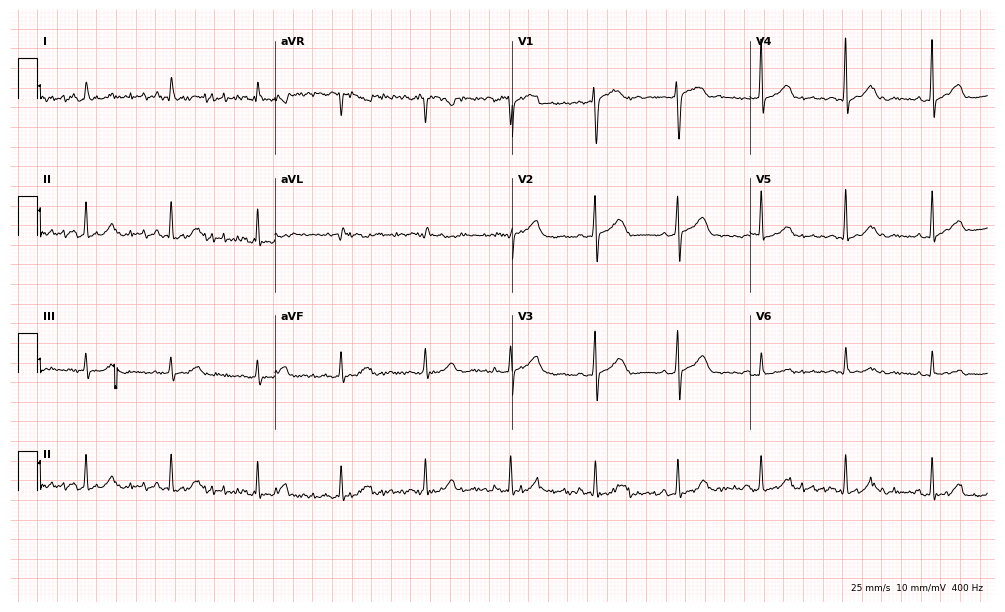
ECG (9.7-second recording at 400 Hz) — a 59-year-old female patient. Labelled as a normal ECG.